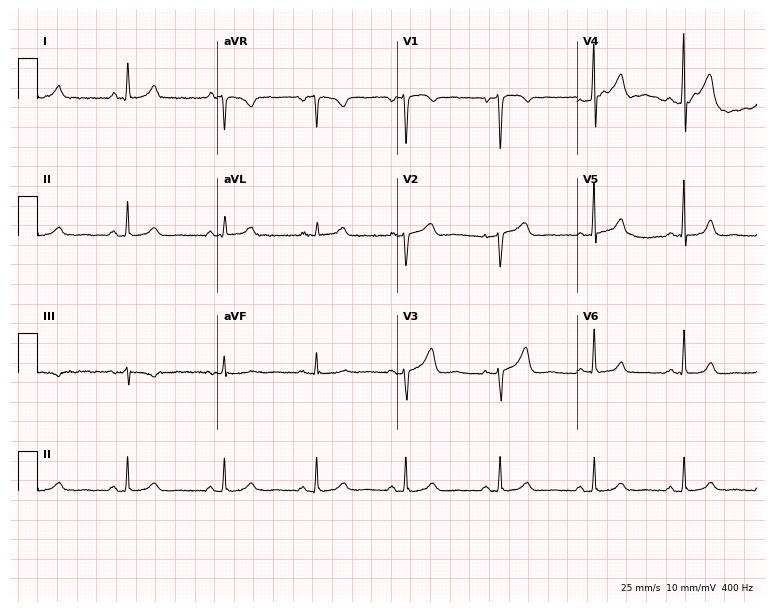
Resting 12-lead electrocardiogram. Patient: a 32-year-old female. Read as a normal ECG.